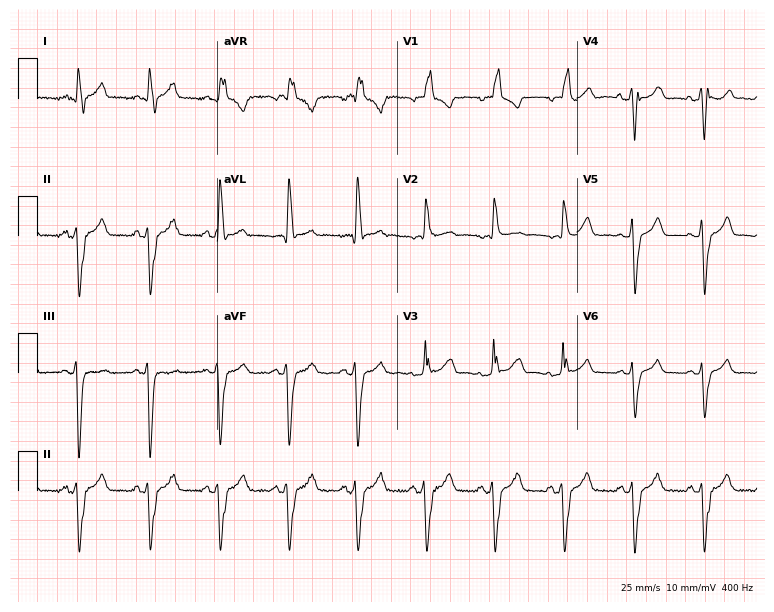
12-lead ECG from a female patient, 52 years old (7.3-second recording at 400 Hz). Shows right bundle branch block (RBBB).